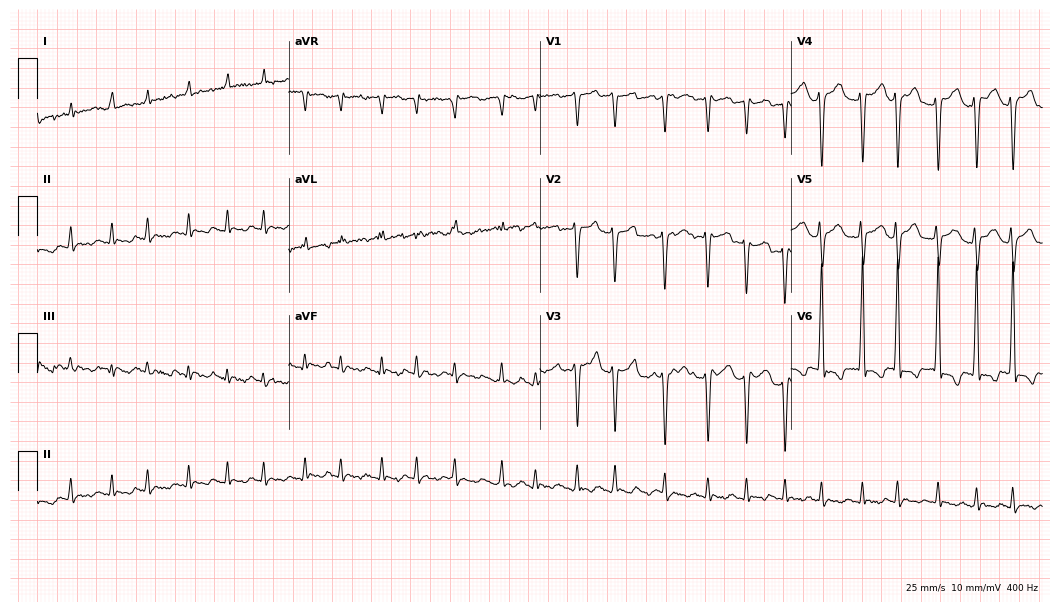
ECG (10.2-second recording at 400 Hz) — a male patient, 75 years old. Screened for six findings — first-degree AV block, right bundle branch block (RBBB), left bundle branch block (LBBB), sinus bradycardia, atrial fibrillation (AF), sinus tachycardia — none is recorded.